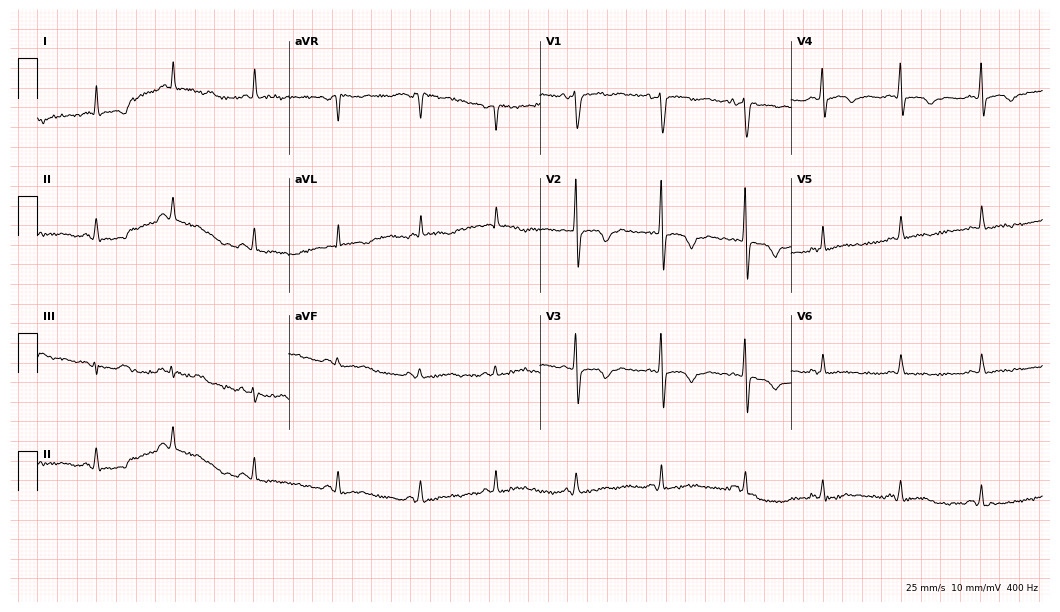
Resting 12-lead electrocardiogram. Patient: a woman, 81 years old. Read as a normal ECG.